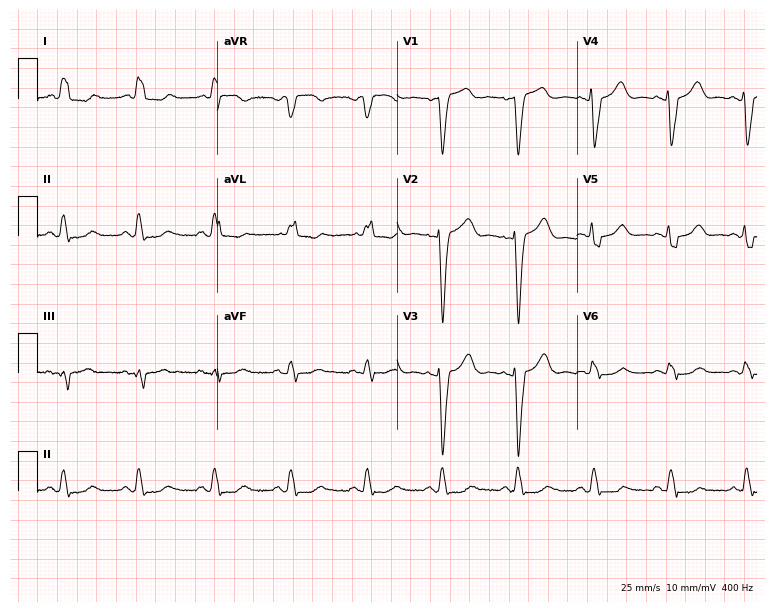
12-lead ECG (7.3-second recording at 400 Hz) from an 84-year-old female. Findings include left bundle branch block.